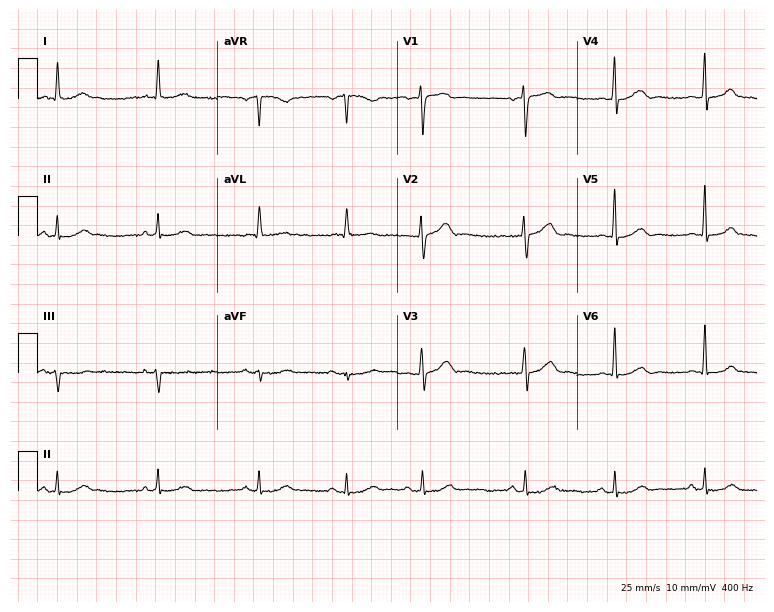
ECG (7.3-second recording at 400 Hz) — a female, 57 years old. Labelled as a normal ECG.